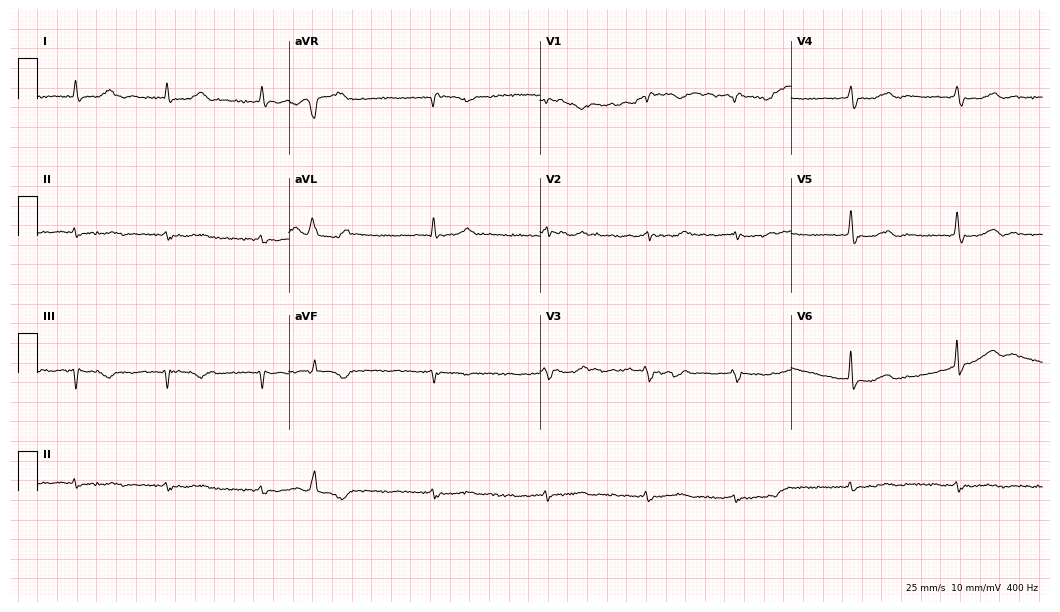
12-lead ECG (10.2-second recording at 400 Hz) from an 82-year-old male. Screened for six findings — first-degree AV block, right bundle branch block, left bundle branch block, sinus bradycardia, atrial fibrillation, sinus tachycardia — none is recorded. Only these six findings were labelled.